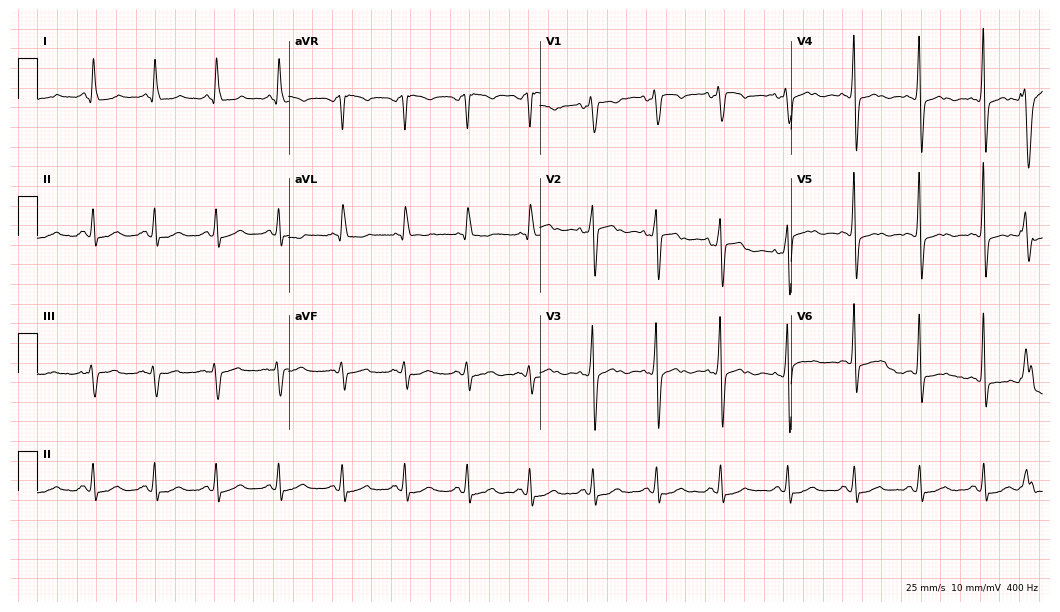
Resting 12-lead electrocardiogram (10.2-second recording at 400 Hz). Patient: a female, 59 years old. None of these six findings is recorded: first-degree AV block, right bundle branch block, left bundle branch block, sinus bradycardia, atrial fibrillation, sinus tachycardia. Only these six findings were labelled.